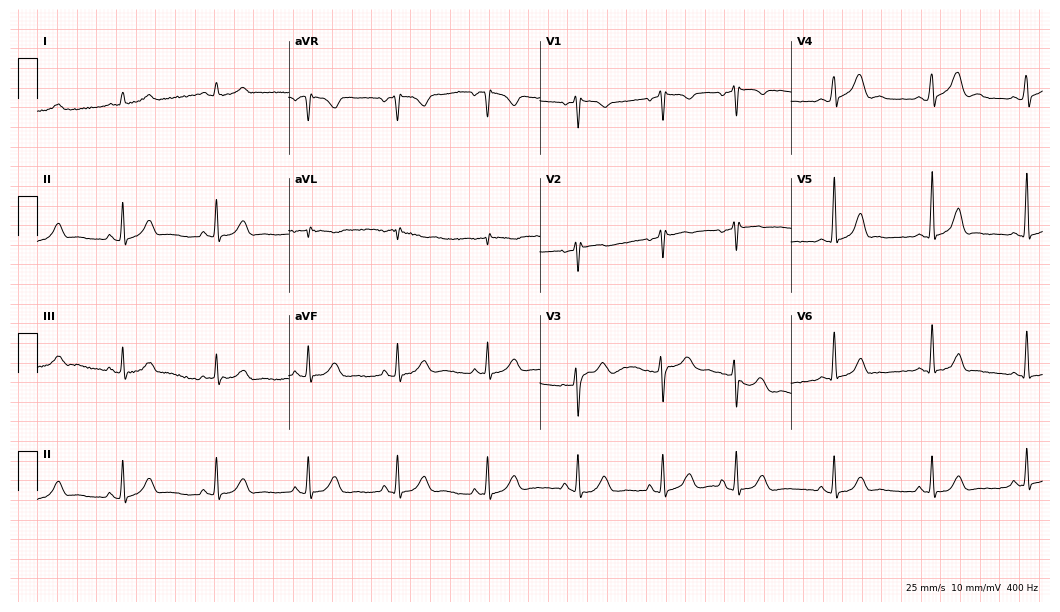
Resting 12-lead electrocardiogram. Patient: a female, 35 years old. Read as a normal ECG.